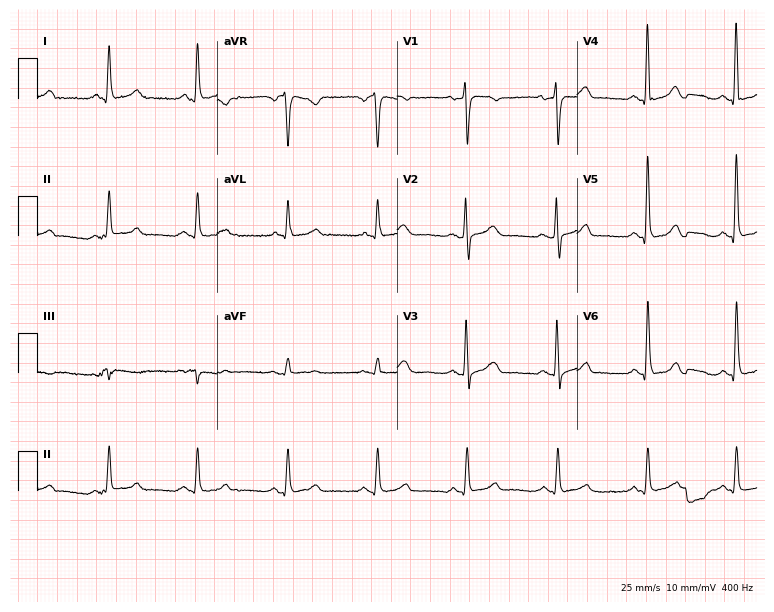
Standard 12-lead ECG recorded from a female patient, 64 years old (7.3-second recording at 400 Hz). Read as a normal ECG.